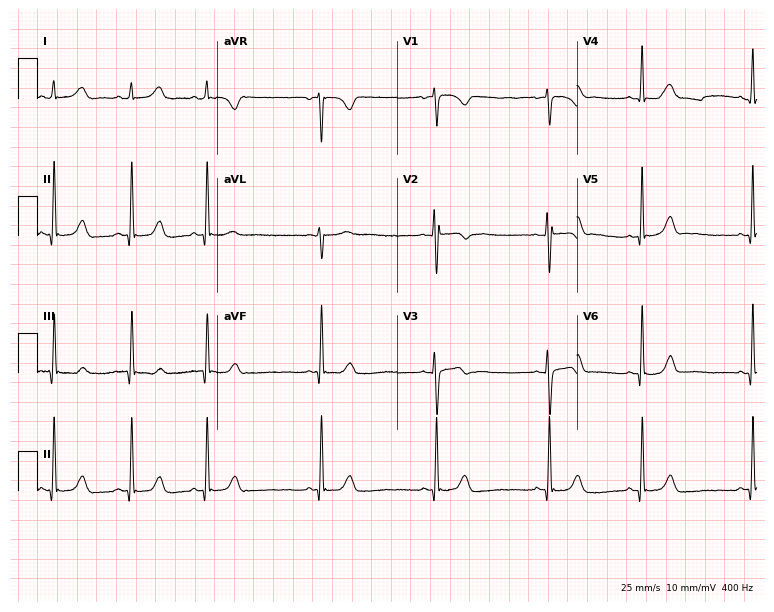
Resting 12-lead electrocardiogram. Patient: a 20-year-old female. Read as a normal ECG.